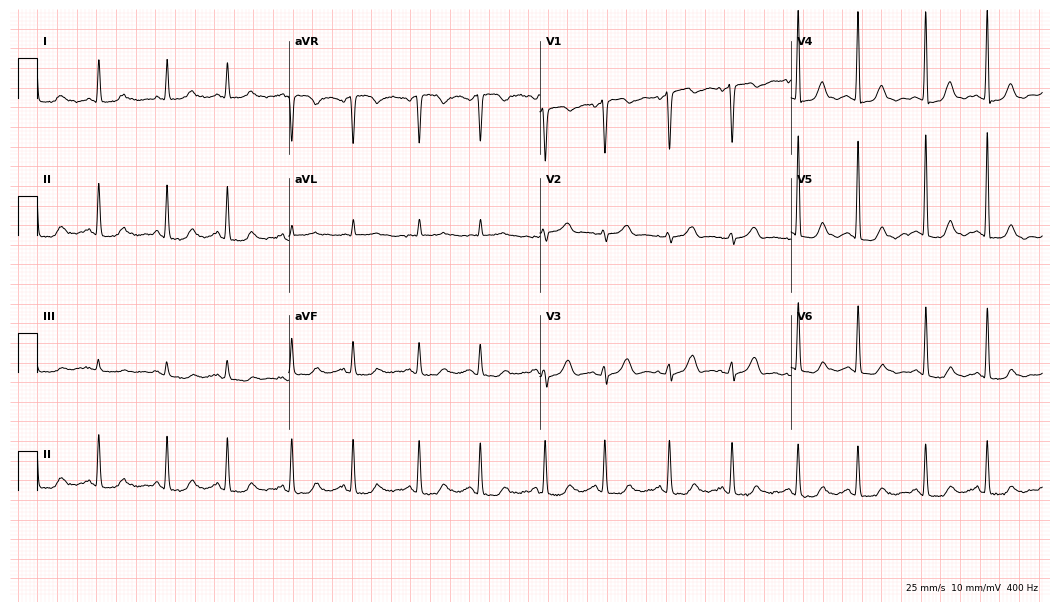
12-lead ECG from a woman, 72 years old. No first-degree AV block, right bundle branch block (RBBB), left bundle branch block (LBBB), sinus bradycardia, atrial fibrillation (AF) or sinus tachycardia recorded for this tracing. Findings outside these six are not listed.